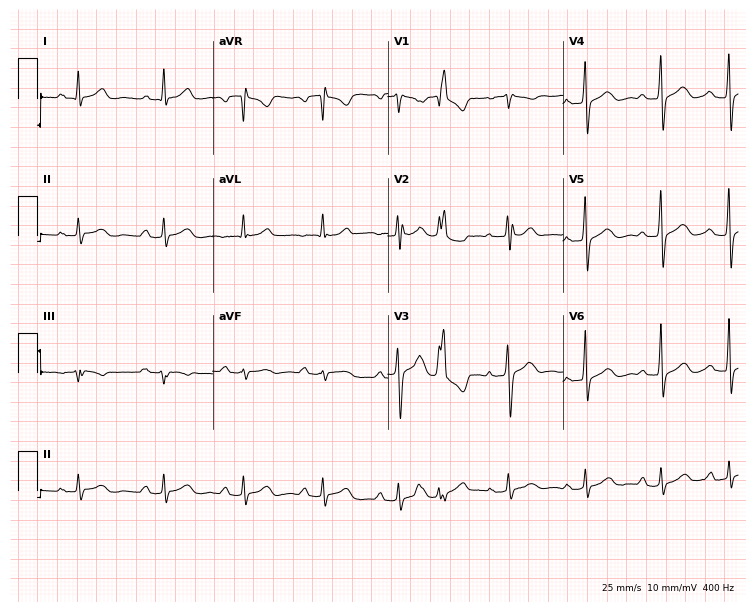
Standard 12-lead ECG recorded from a 50-year-old male patient. Read as a normal ECG.